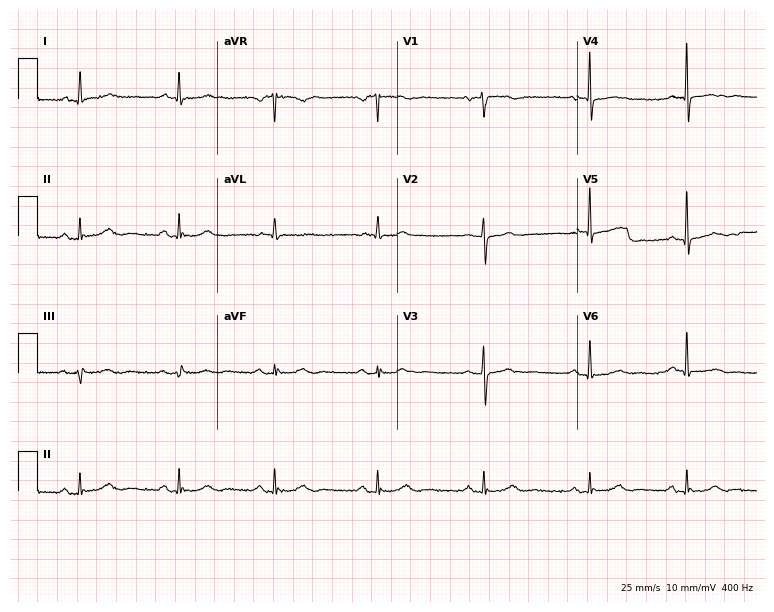
Resting 12-lead electrocardiogram. Patient: a female, 54 years old. Read as a normal ECG.